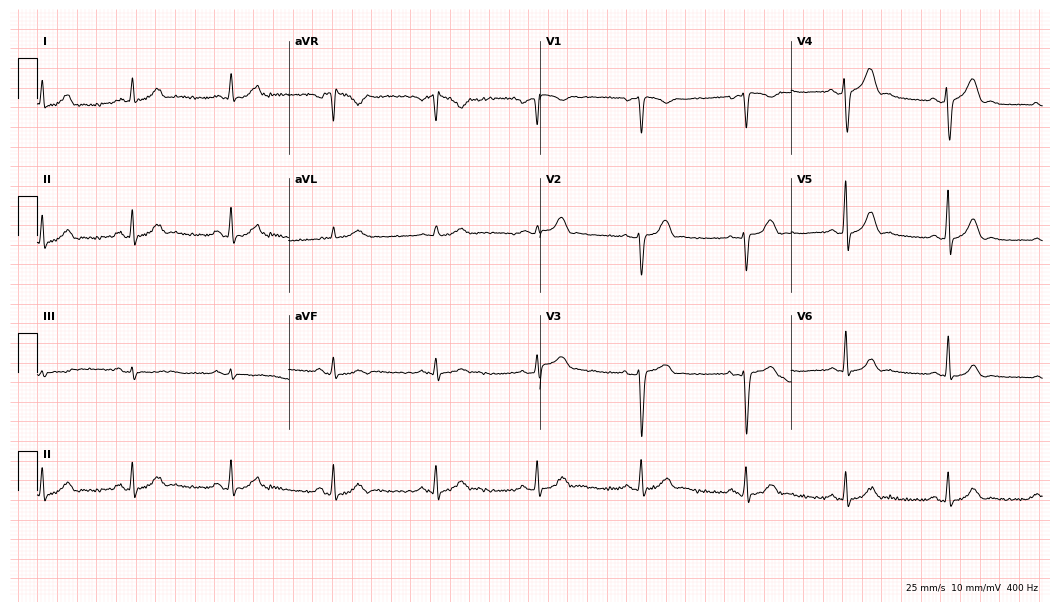
Resting 12-lead electrocardiogram. Patient: a 35-year-old male. None of these six findings is recorded: first-degree AV block, right bundle branch block, left bundle branch block, sinus bradycardia, atrial fibrillation, sinus tachycardia.